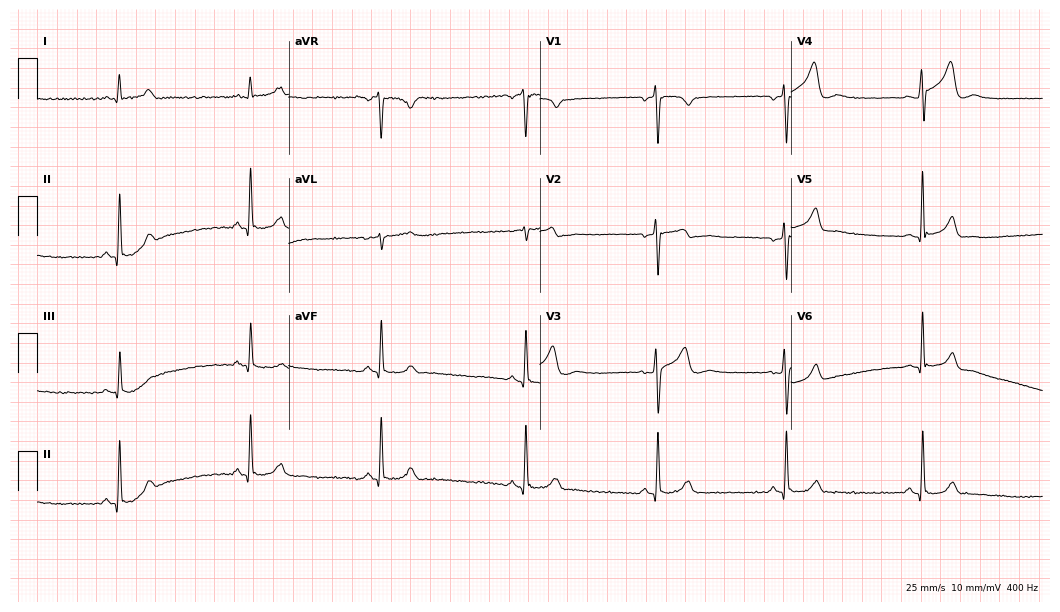
Standard 12-lead ECG recorded from a 38-year-old man. The tracing shows sinus bradycardia (a sinus rate of 50 beats per minute or less).